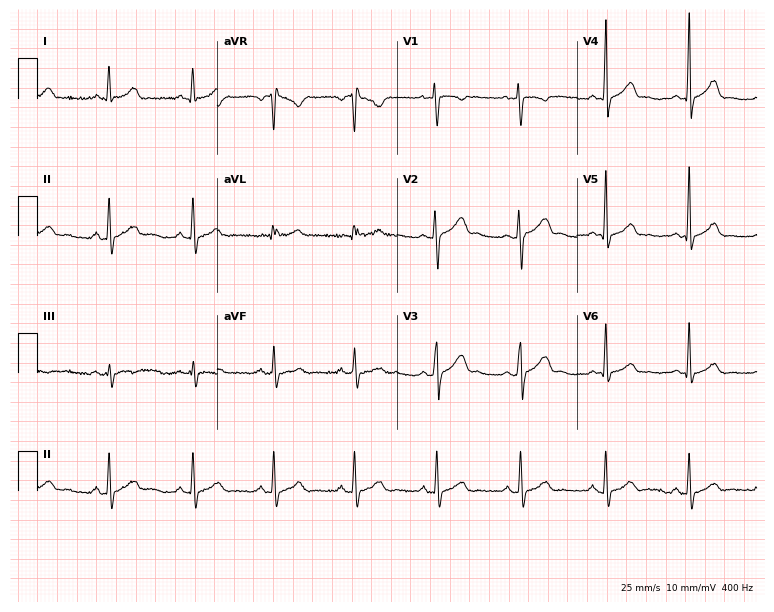
Electrocardiogram, a woman, 31 years old. Overall reading on record: normal ECG.